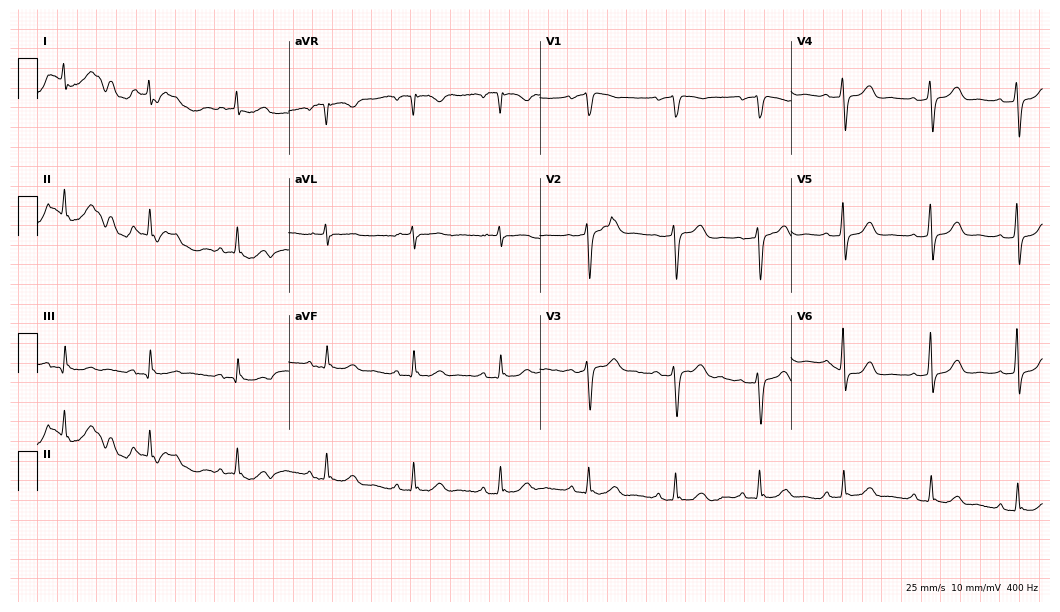
Standard 12-lead ECG recorded from a 76-year-old female patient. Read as a normal ECG.